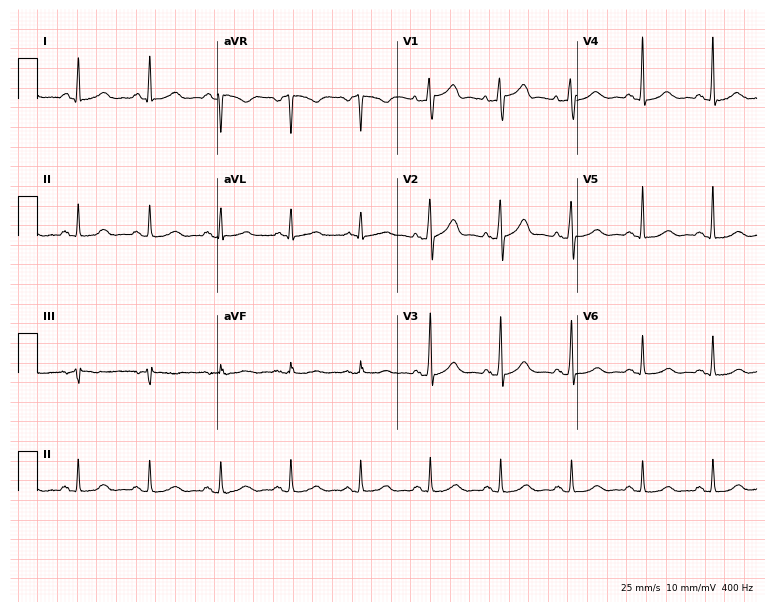
Standard 12-lead ECG recorded from a male, 69 years old (7.3-second recording at 400 Hz). None of these six findings is recorded: first-degree AV block, right bundle branch block, left bundle branch block, sinus bradycardia, atrial fibrillation, sinus tachycardia.